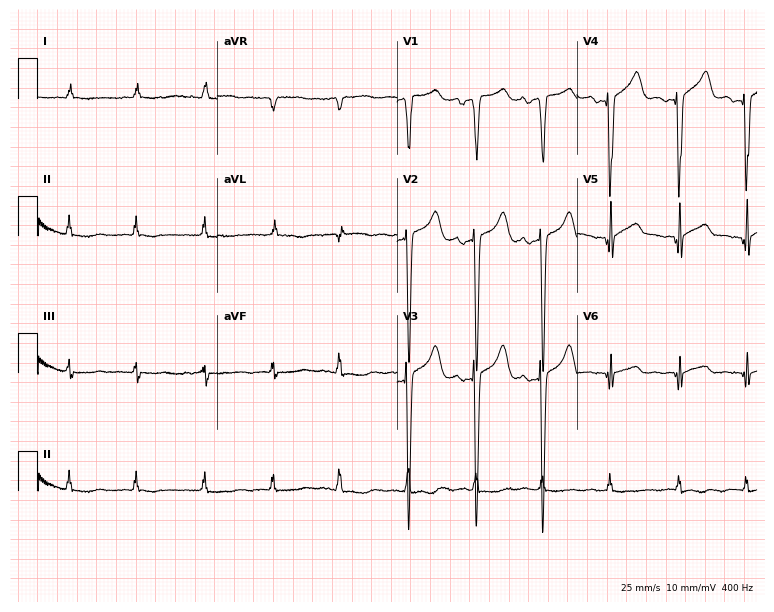
Standard 12-lead ECG recorded from a male, 82 years old. None of these six findings is recorded: first-degree AV block, right bundle branch block, left bundle branch block, sinus bradycardia, atrial fibrillation, sinus tachycardia. Findings outside these six are not listed.